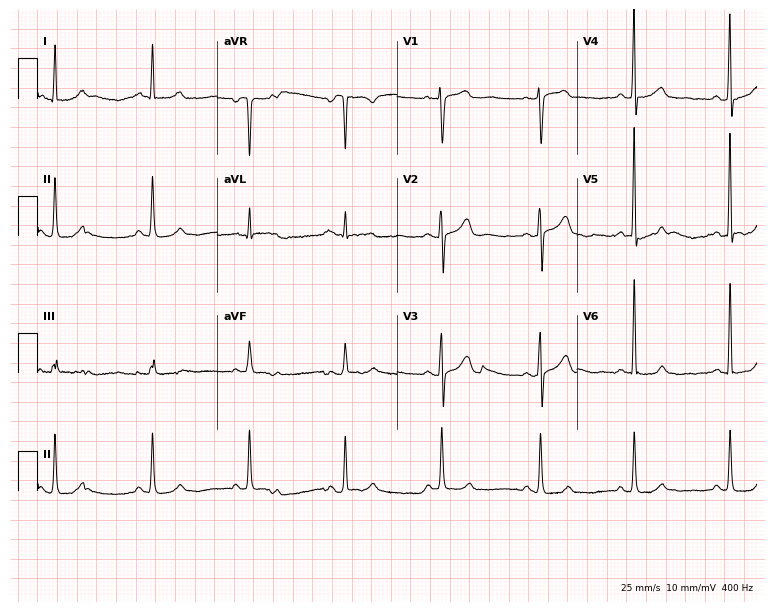
Standard 12-lead ECG recorded from a 37-year-old female patient (7.3-second recording at 400 Hz). None of these six findings is recorded: first-degree AV block, right bundle branch block, left bundle branch block, sinus bradycardia, atrial fibrillation, sinus tachycardia.